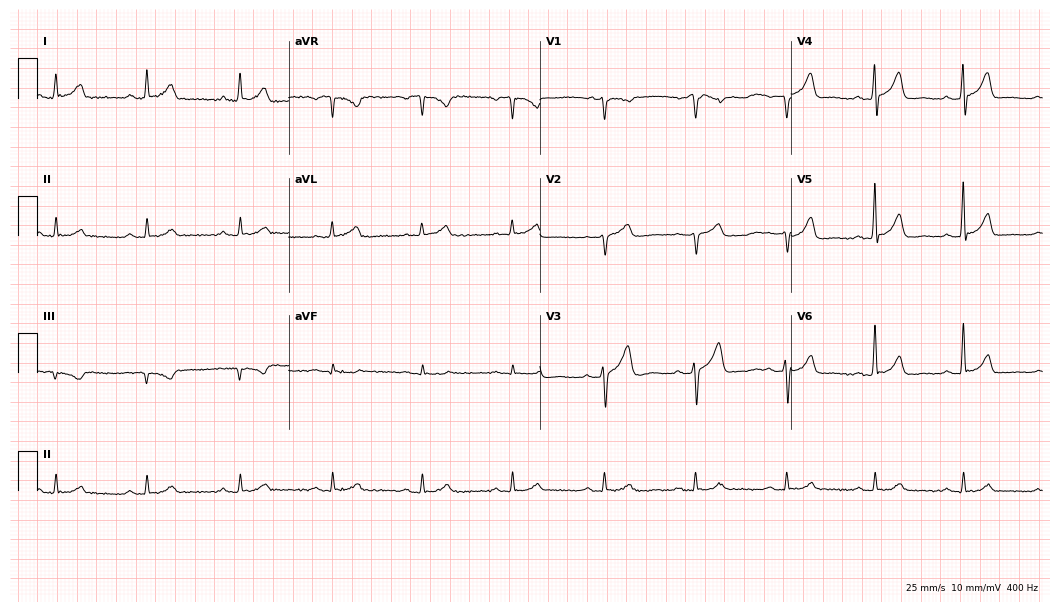
Resting 12-lead electrocardiogram (10.2-second recording at 400 Hz). Patient: a 52-year-old male. None of these six findings is recorded: first-degree AV block, right bundle branch block (RBBB), left bundle branch block (LBBB), sinus bradycardia, atrial fibrillation (AF), sinus tachycardia.